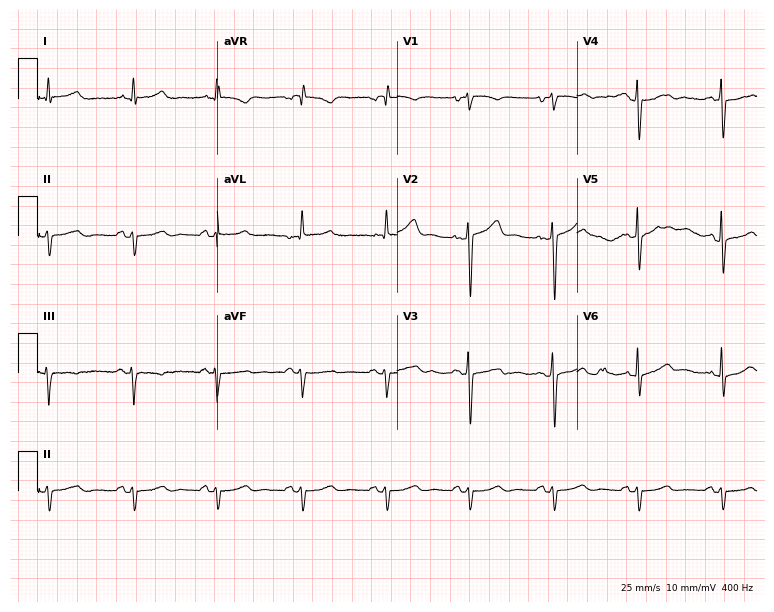
Resting 12-lead electrocardiogram. Patient: a 65-year-old male. None of these six findings is recorded: first-degree AV block, right bundle branch block, left bundle branch block, sinus bradycardia, atrial fibrillation, sinus tachycardia.